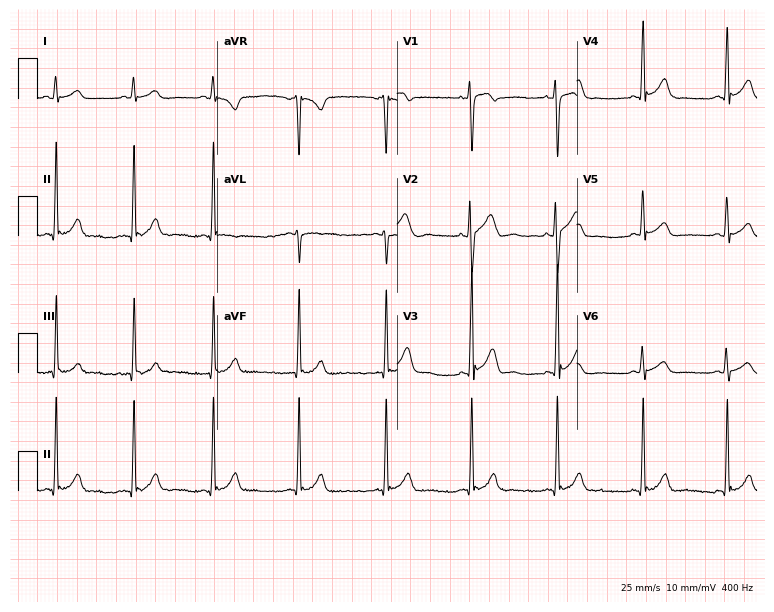
12-lead ECG (7.3-second recording at 400 Hz) from a 21-year-old male patient. Screened for six findings — first-degree AV block, right bundle branch block, left bundle branch block, sinus bradycardia, atrial fibrillation, sinus tachycardia — none is recorded.